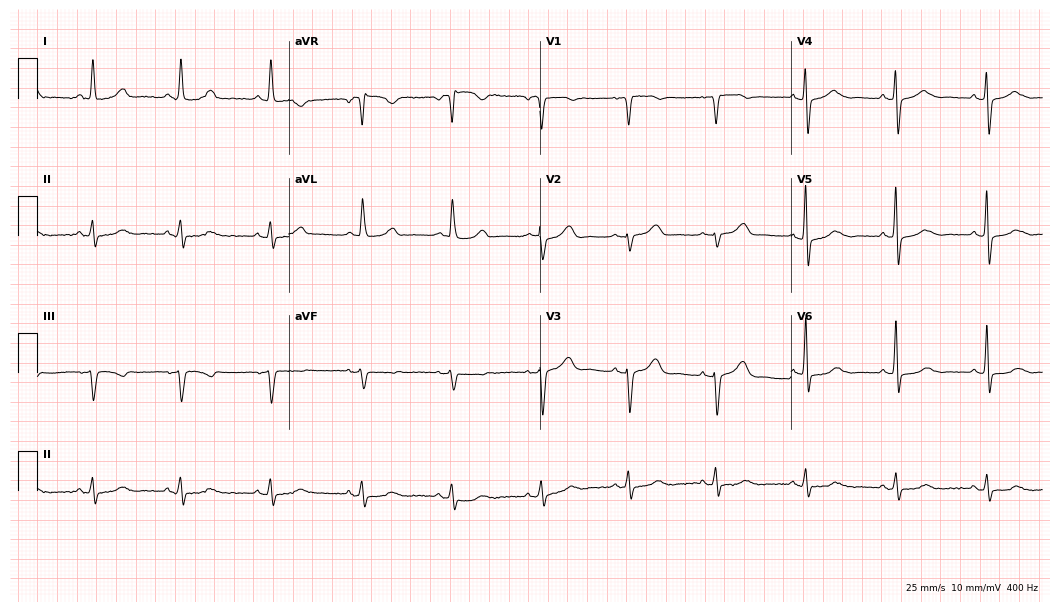
Electrocardiogram (10.2-second recording at 400 Hz), a woman, 65 years old. Overall reading on record: normal ECG.